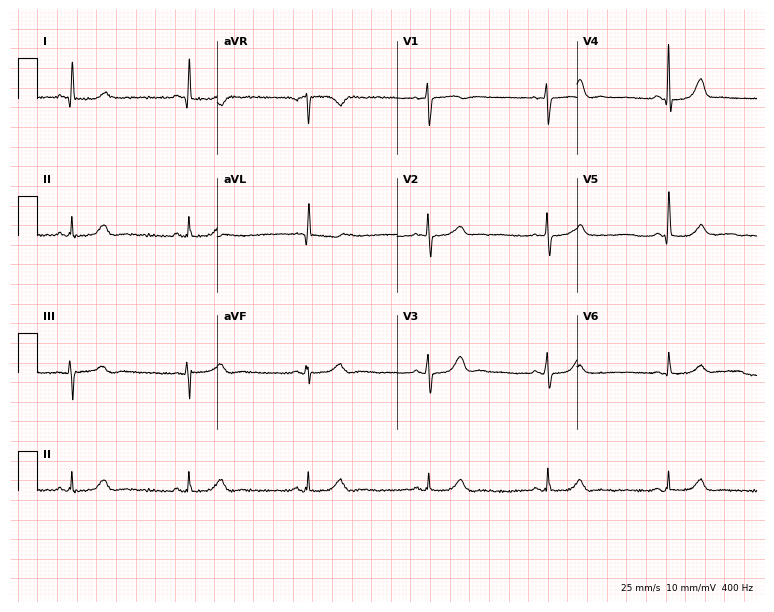
ECG (7.3-second recording at 400 Hz) — a 64-year-old woman. Labelled as a normal ECG.